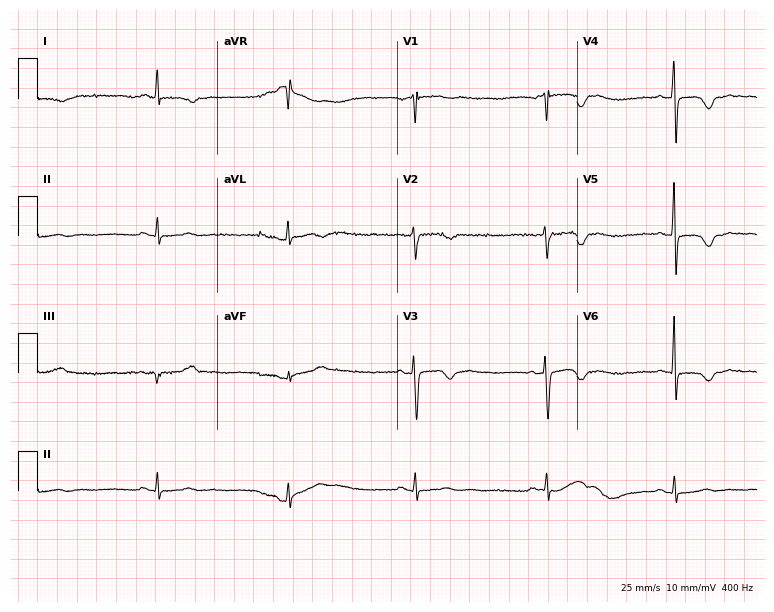
Electrocardiogram (7.3-second recording at 400 Hz), a 69-year-old female patient. Interpretation includes sinus bradycardia (a sinus rate of 50 beats per minute or less).